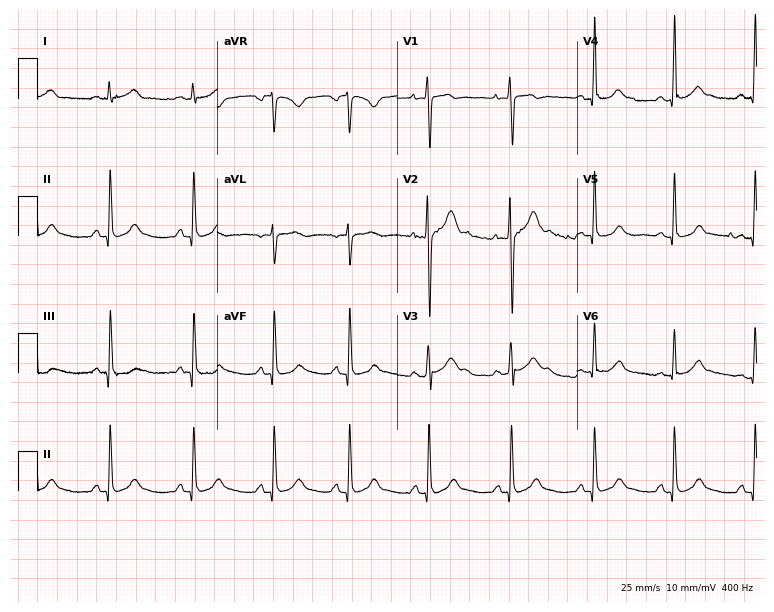
12-lead ECG from a male, 20 years old (7.3-second recording at 400 Hz). No first-degree AV block, right bundle branch block (RBBB), left bundle branch block (LBBB), sinus bradycardia, atrial fibrillation (AF) or sinus tachycardia recorded for this tracing. Other findings, if any, are not listed.